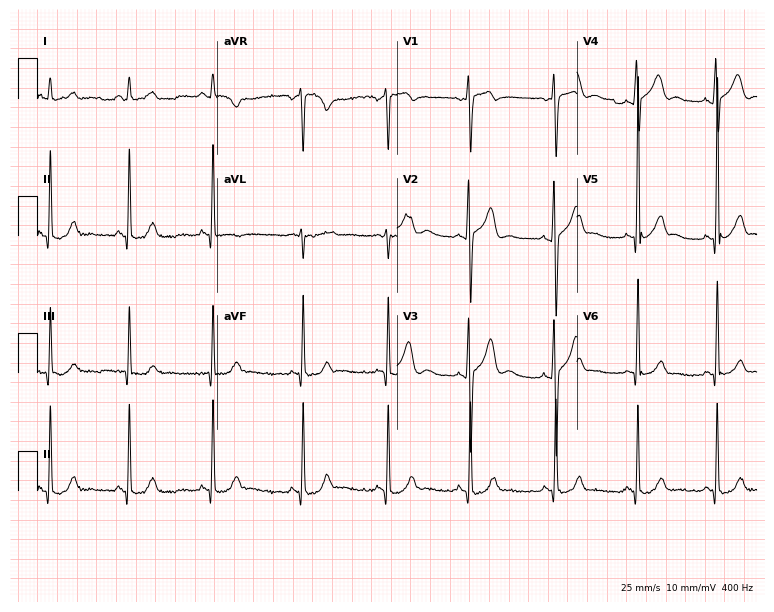
12-lead ECG from a 21-year-old male. Screened for six findings — first-degree AV block, right bundle branch block, left bundle branch block, sinus bradycardia, atrial fibrillation, sinus tachycardia — none is recorded. Only these six findings were labelled.